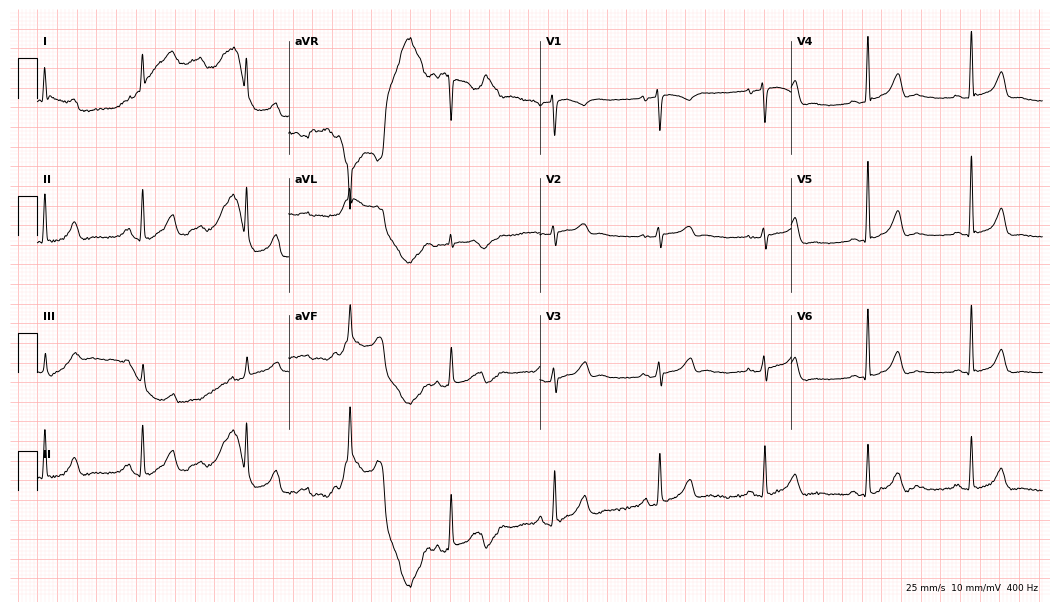
12-lead ECG (10.2-second recording at 400 Hz) from a 65-year-old female patient. Screened for six findings — first-degree AV block, right bundle branch block, left bundle branch block, sinus bradycardia, atrial fibrillation, sinus tachycardia — none is recorded.